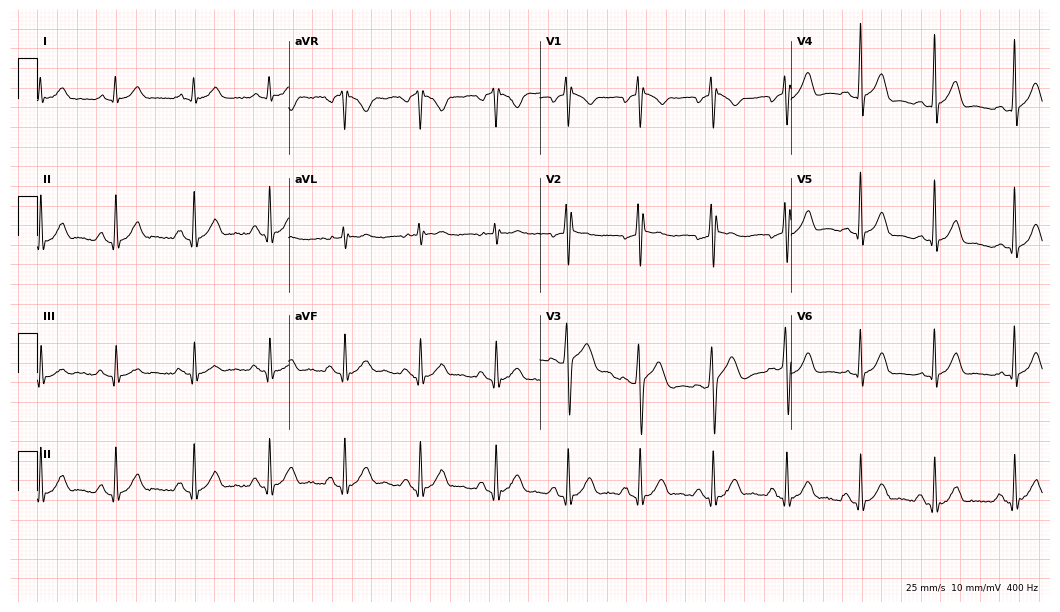
12-lead ECG from a 21-year-old male (10.2-second recording at 400 Hz). No first-degree AV block, right bundle branch block (RBBB), left bundle branch block (LBBB), sinus bradycardia, atrial fibrillation (AF) or sinus tachycardia recorded for this tracing. Findings outside these six are not listed.